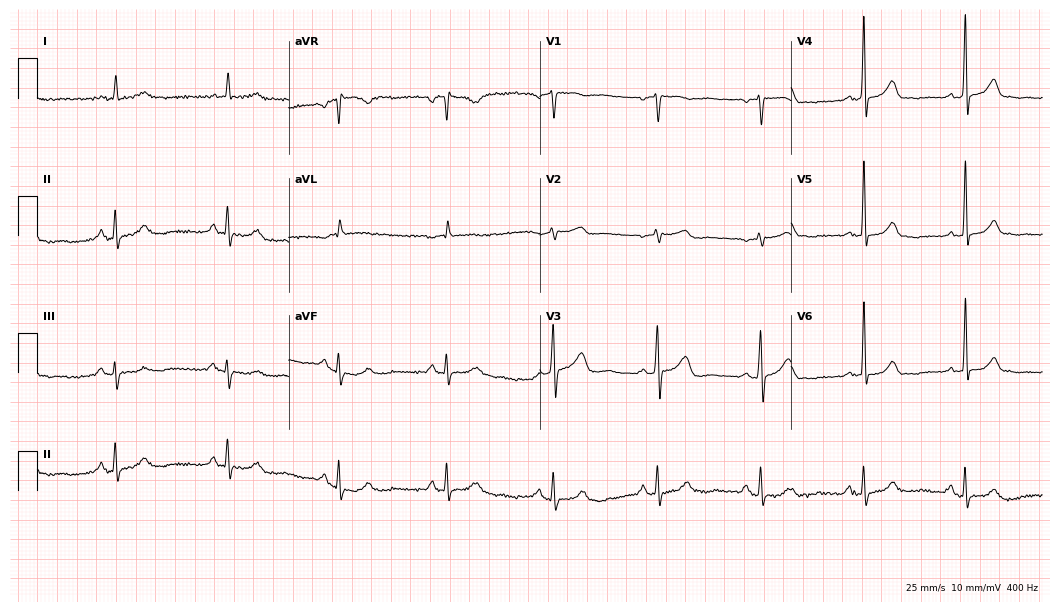
Resting 12-lead electrocardiogram. Patient: a woman, 77 years old. Read as a normal ECG.